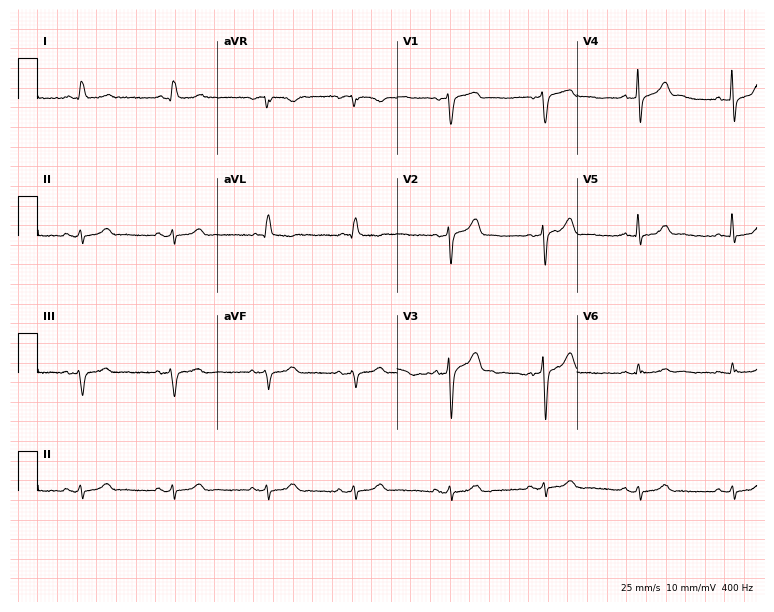
Resting 12-lead electrocardiogram (7.3-second recording at 400 Hz). Patient: an 86-year-old man. None of these six findings is recorded: first-degree AV block, right bundle branch block, left bundle branch block, sinus bradycardia, atrial fibrillation, sinus tachycardia. Other findings, if any, are not listed.